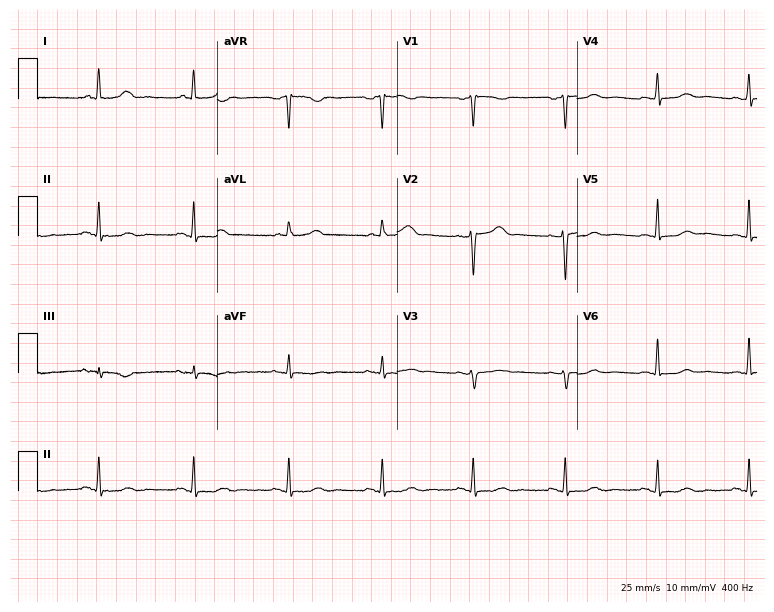
ECG (7.3-second recording at 400 Hz) — a female patient, 55 years old. Screened for six findings — first-degree AV block, right bundle branch block (RBBB), left bundle branch block (LBBB), sinus bradycardia, atrial fibrillation (AF), sinus tachycardia — none is recorded.